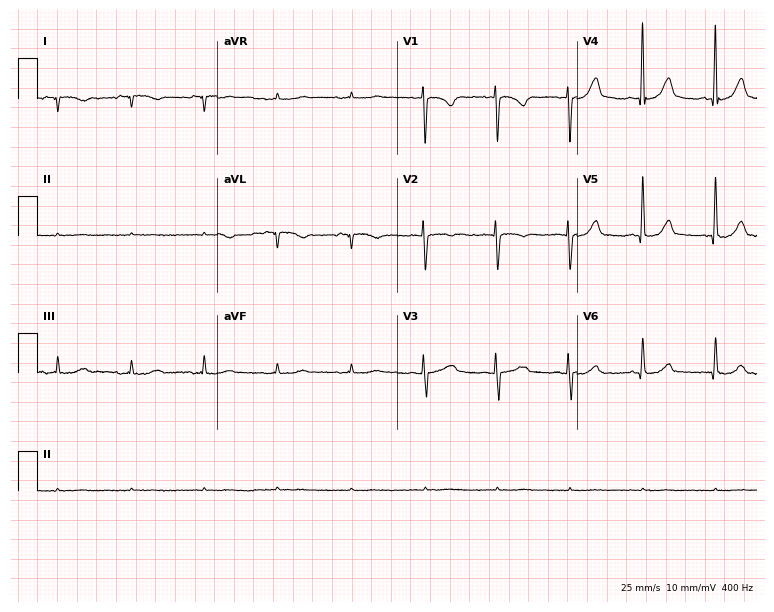
Resting 12-lead electrocardiogram (7.3-second recording at 400 Hz). Patient: a female, 63 years old. None of these six findings is recorded: first-degree AV block, right bundle branch block (RBBB), left bundle branch block (LBBB), sinus bradycardia, atrial fibrillation (AF), sinus tachycardia. Only these six findings were labelled.